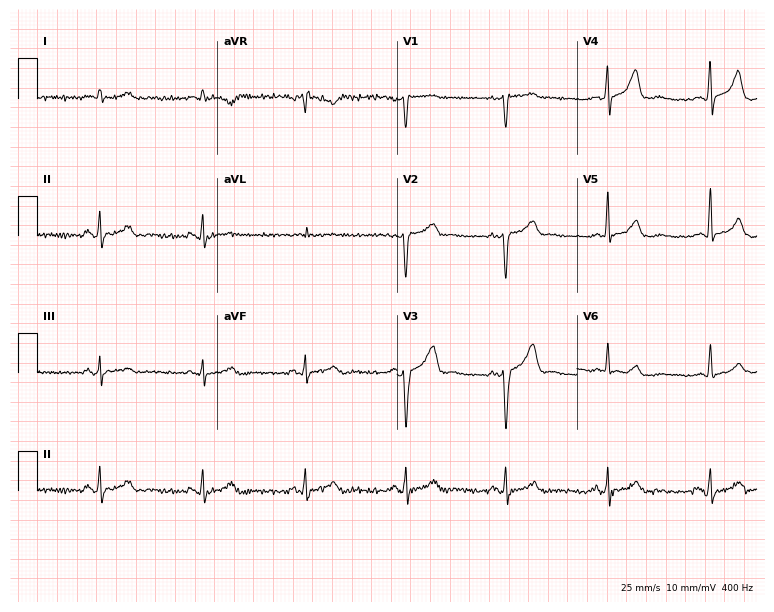
Resting 12-lead electrocardiogram. Patient: a man, 63 years old. Read as a normal ECG.